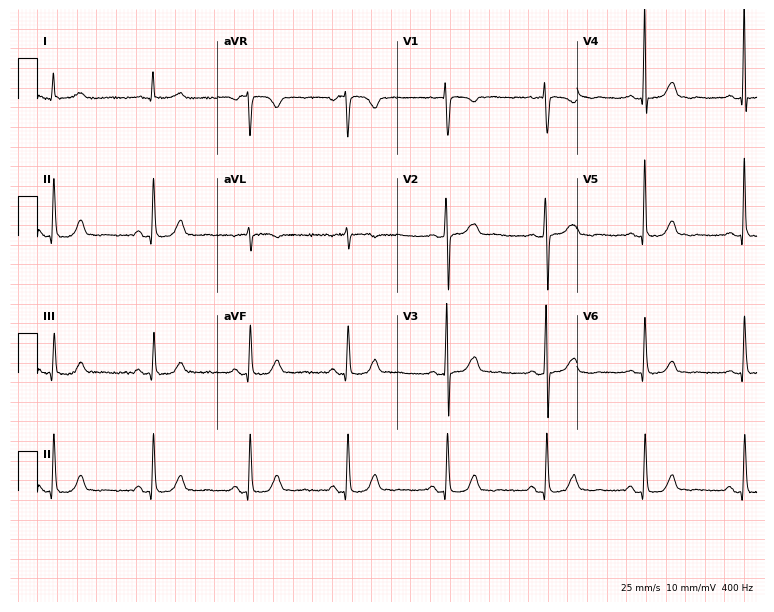
Resting 12-lead electrocardiogram. Patient: a woman, 62 years old. Read as a normal ECG.